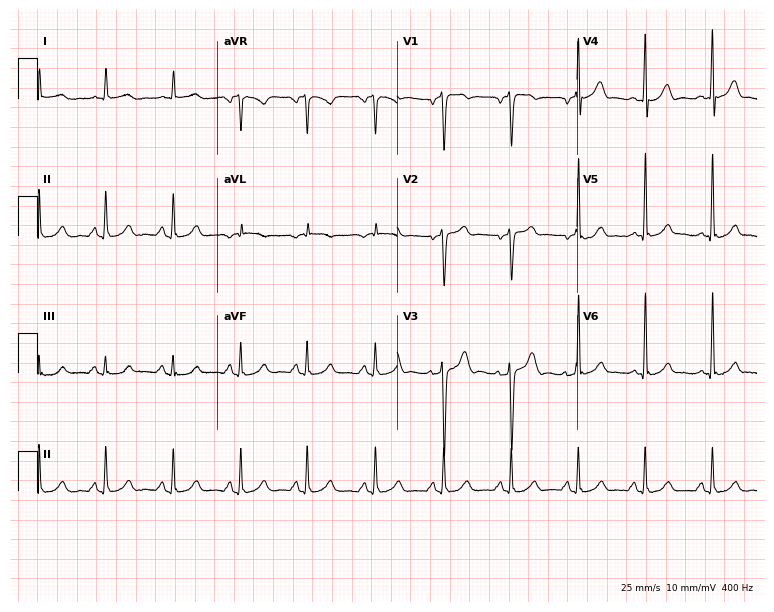
Resting 12-lead electrocardiogram. Patient: a male, 68 years old. Read as a normal ECG.